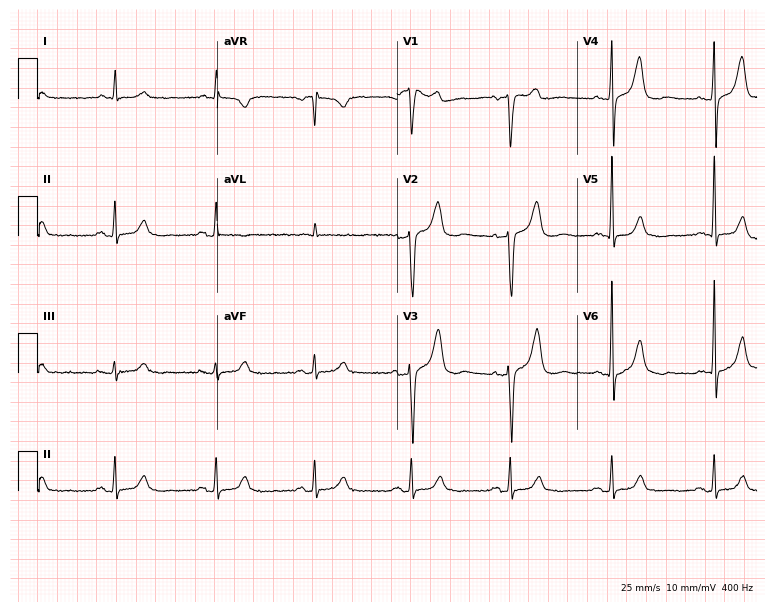
12-lead ECG from an 80-year-old male patient. Labelled as a normal ECG.